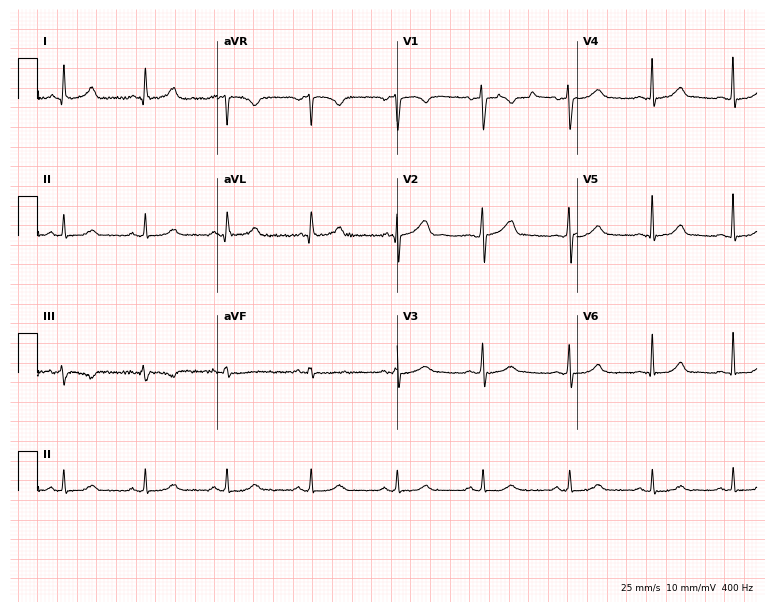
ECG (7.3-second recording at 400 Hz) — a 44-year-old woman. Labelled as a normal ECG.